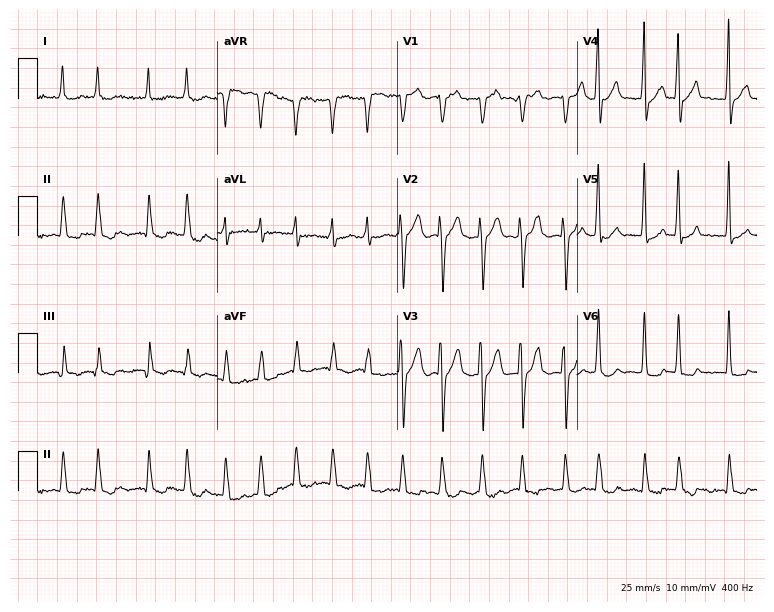
12-lead ECG (7.3-second recording at 400 Hz) from a 65-year-old woman. Screened for six findings — first-degree AV block, right bundle branch block (RBBB), left bundle branch block (LBBB), sinus bradycardia, atrial fibrillation (AF), sinus tachycardia — none is recorded.